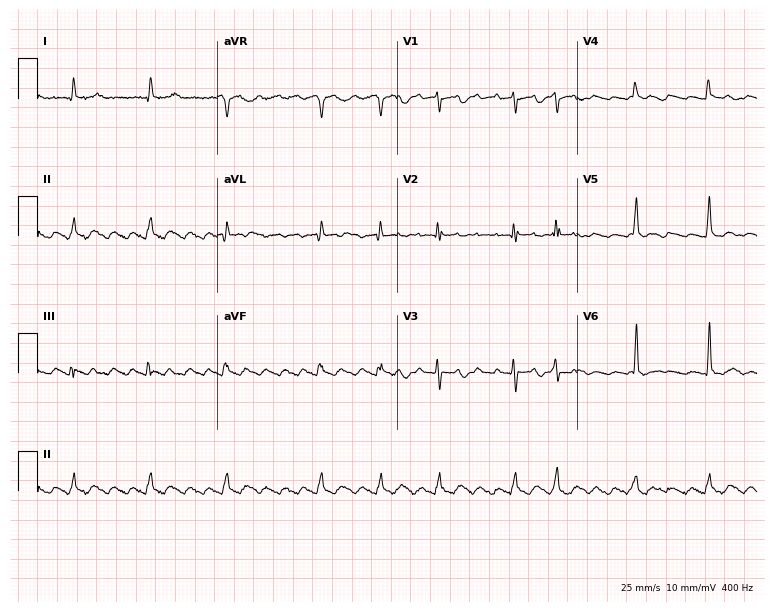
12-lead ECG (7.3-second recording at 400 Hz) from a 28-year-old female. Findings include atrial fibrillation.